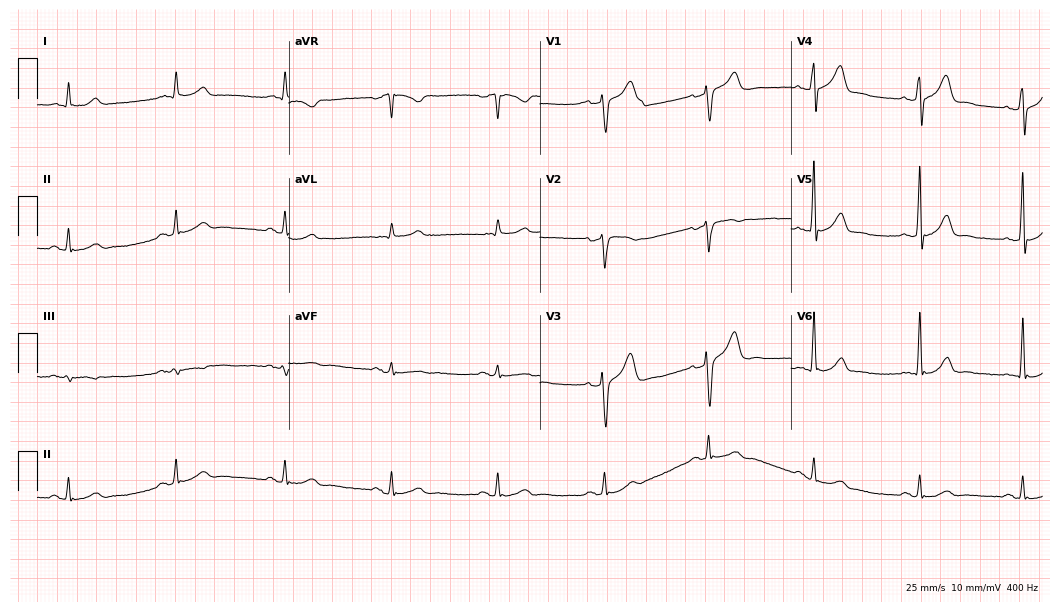
Standard 12-lead ECG recorded from a 71-year-old male patient (10.2-second recording at 400 Hz). Read as a normal ECG.